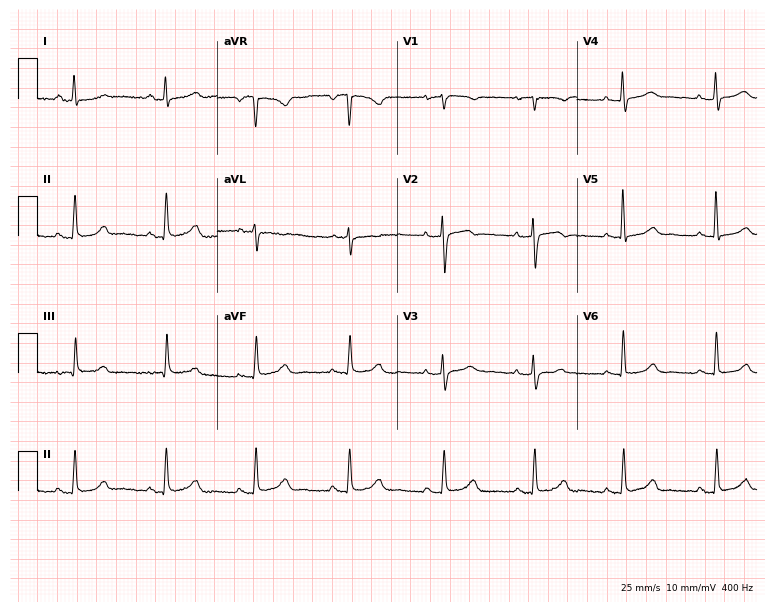
Electrocardiogram (7.3-second recording at 400 Hz), a female, 65 years old. Overall reading on record: normal ECG.